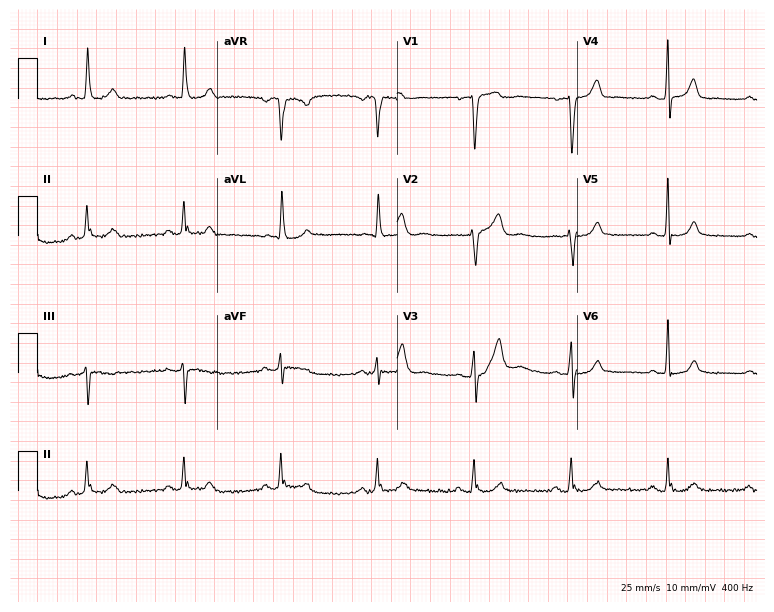
ECG — a male, 69 years old. Screened for six findings — first-degree AV block, right bundle branch block (RBBB), left bundle branch block (LBBB), sinus bradycardia, atrial fibrillation (AF), sinus tachycardia — none is recorded. Other findings, if any, are not listed.